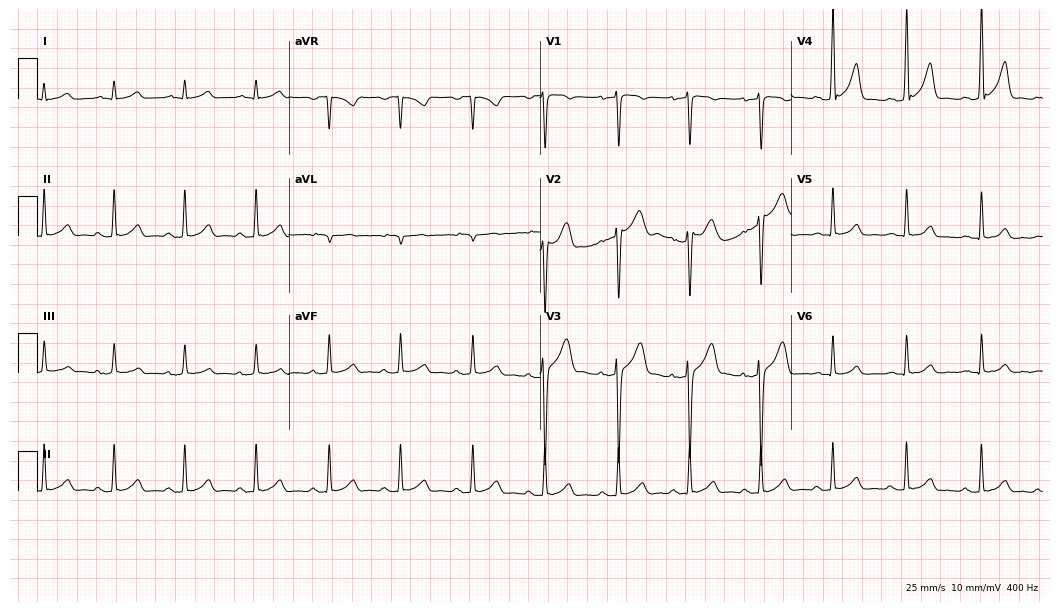
12-lead ECG from a 37-year-old male. Labelled as a normal ECG.